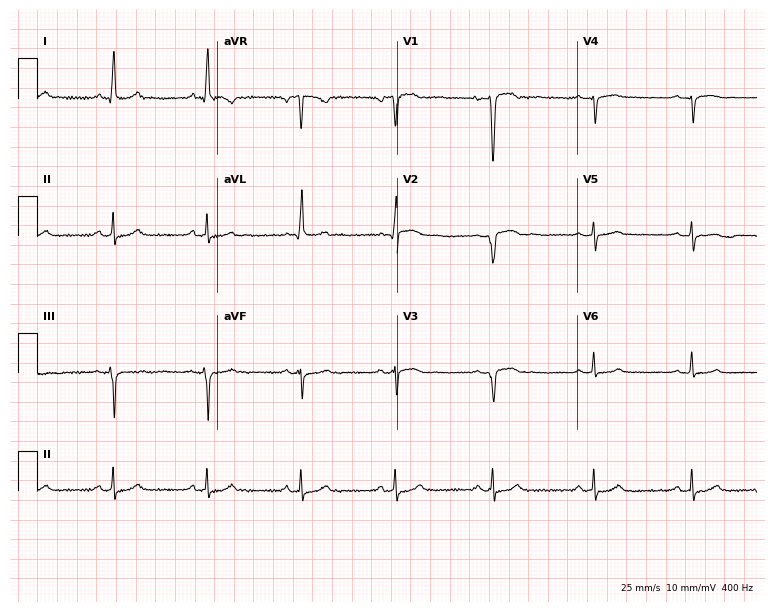
12-lead ECG from a male patient, 52 years old (7.3-second recording at 400 Hz). No first-degree AV block, right bundle branch block, left bundle branch block, sinus bradycardia, atrial fibrillation or sinus tachycardia recorded for this tracing.